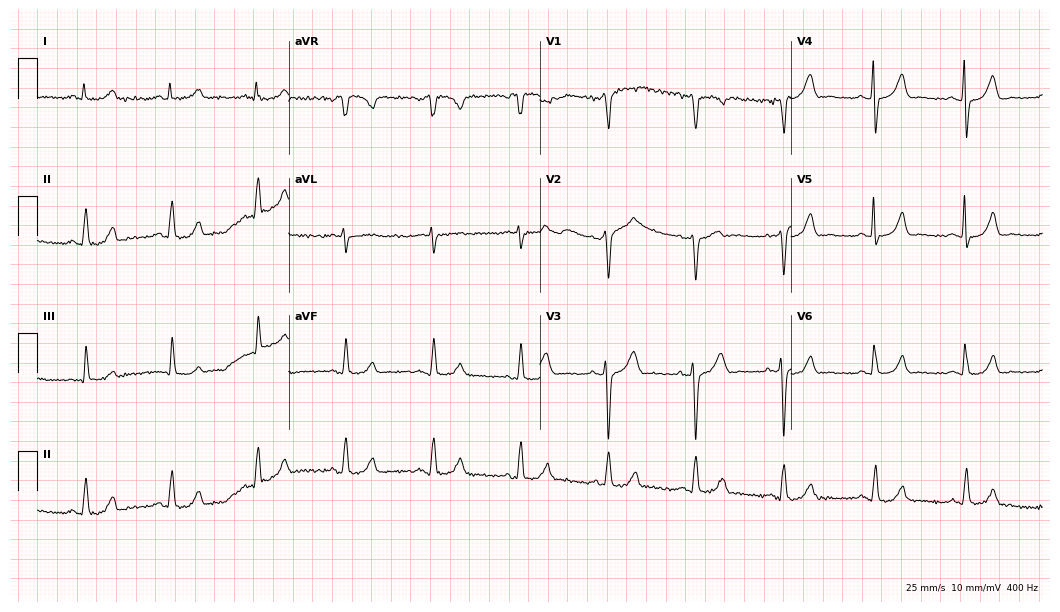
12-lead ECG (10.2-second recording at 400 Hz) from a 50-year-old female patient. Labelled as a normal ECG.